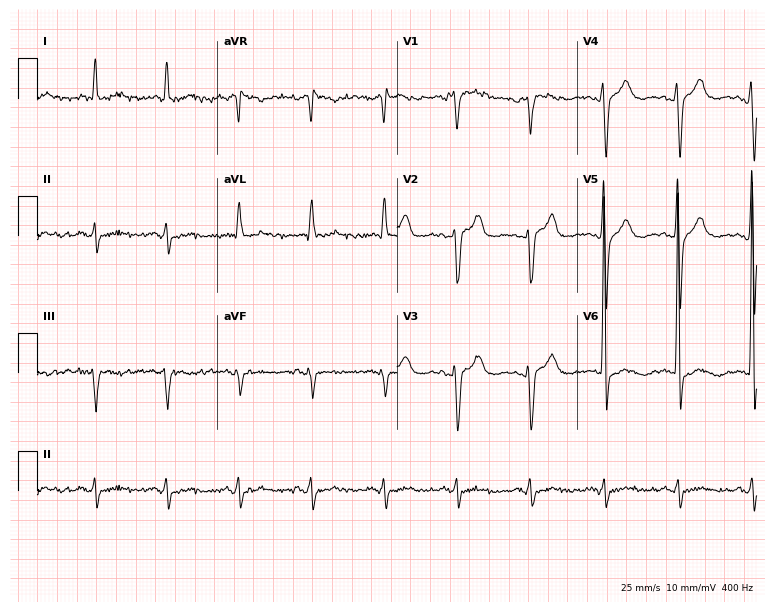
12-lead ECG from a 70-year-old male patient. Screened for six findings — first-degree AV block, right bundle branch block, left bundle branch block, sinus bradycardia, atrial fibrillation, sinus tachycardia — none is recorded.